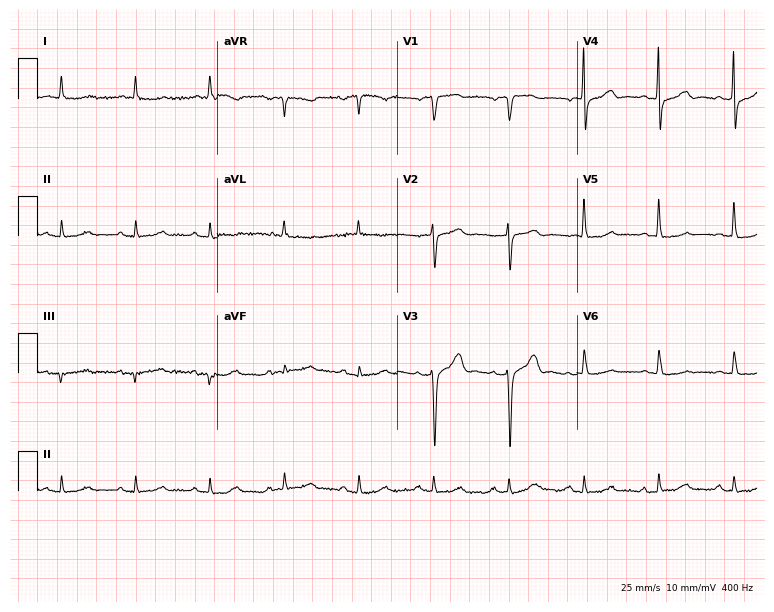
ECG — a man, 81 years old. Screened for six findings — first-degree AV block, right bundle branch block (RBBB), left bundle branch block (LBBB), sinus bradycardia, atrial fibrillation (AF), sinus tachycardia — none is recorded.